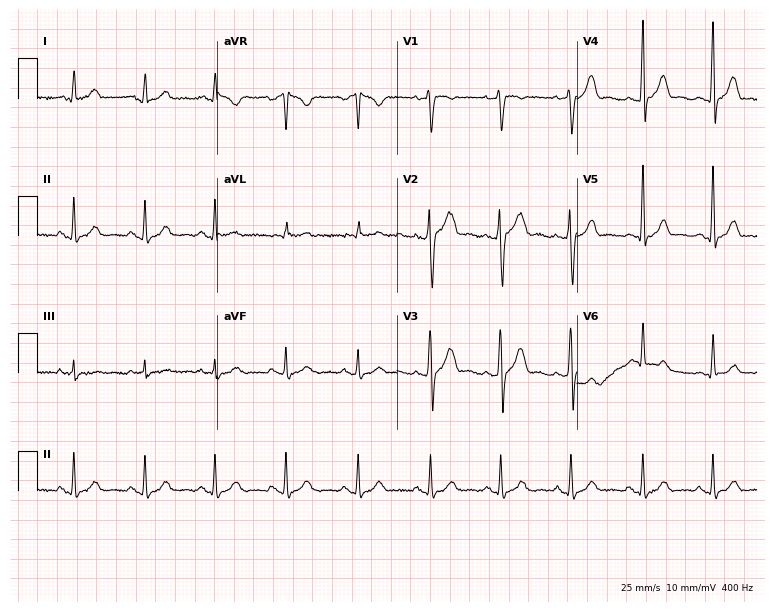
12-lead ECG from a male patient, 33 years old. Labelled as a normal ECG.